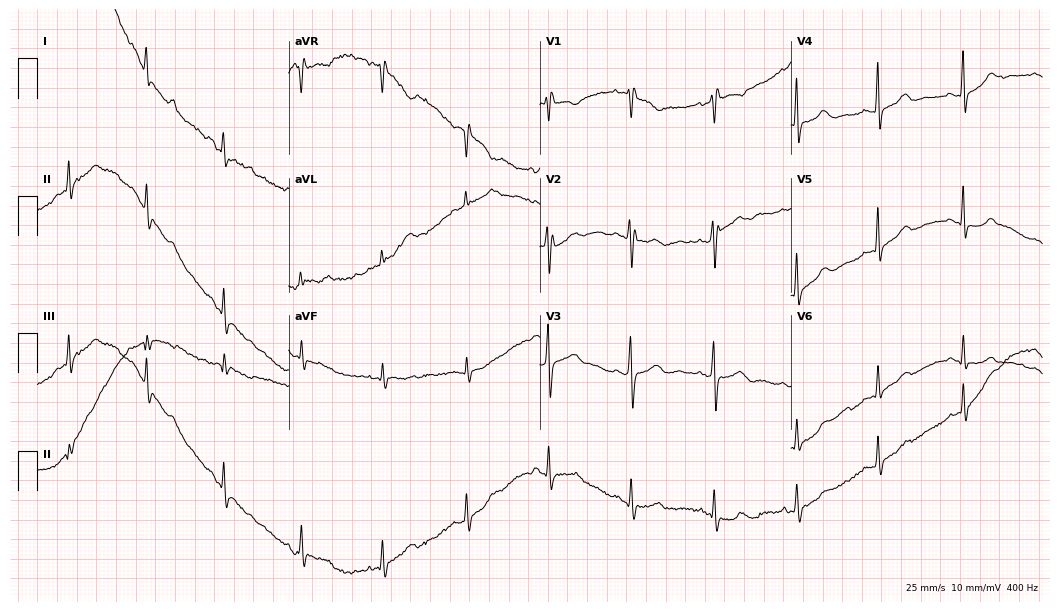
ECG — a female, 54 years old. Screened for six findings — first-degree AV block, right bundle branch block, left bundle branch block, sinus bradycardia, atrial fibrillation, sinus tachycardia — none is recorded.